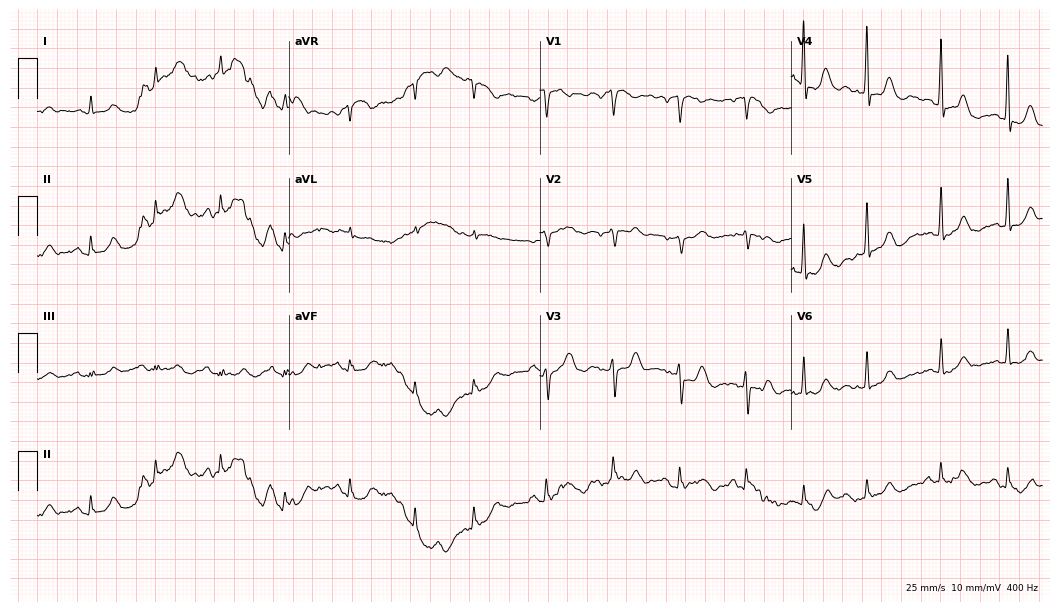
12-lead ECG from a 75-year-old female. Screened for six findings — first-degree AV block, right bundle branch block (RBBB), left bundle branch block (LBBB), sinus bradycardia, atrial fibrillation (AF), sinus tachycardia — none is recorded.